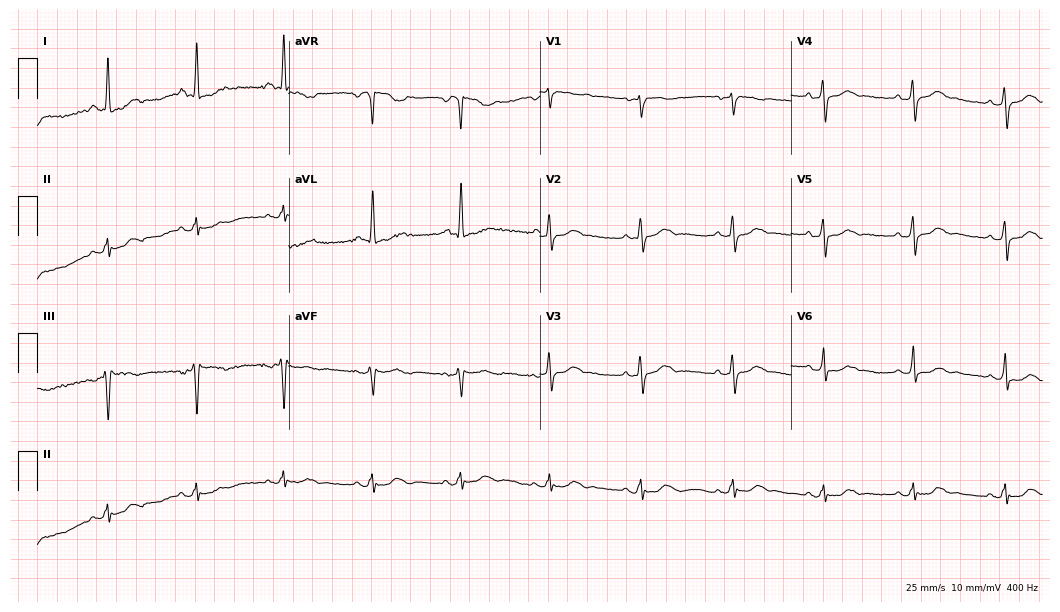
Standard 12-lead ECG recorded from a 74-year-old woman. None of these six findings is recorded: first-degree AV block, right bundle branch block, left bundle branch block, sinus bradycardia, atrial fibrillation, sinus tachycardia. Findings outside these six are not listed.